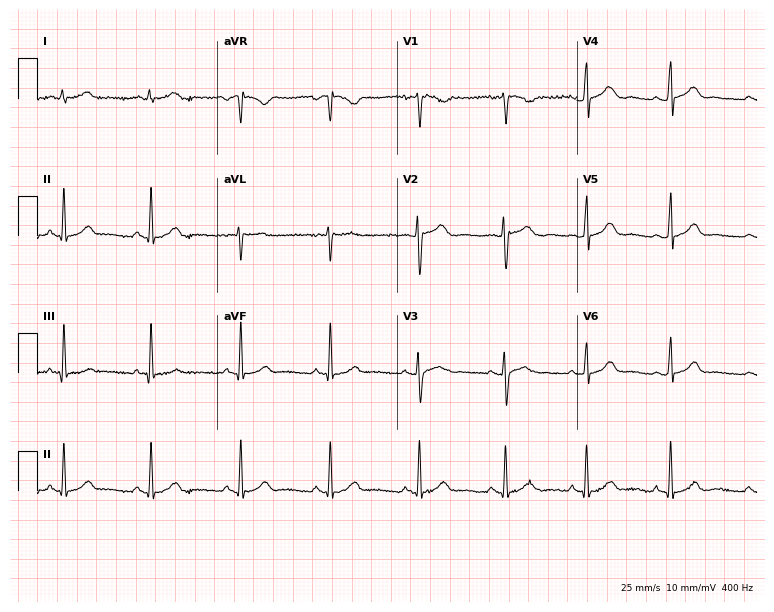
ECG — a woman, 24 years old. Screened for six findings — first-degree AV block, right bundle branch block (RBBB), left bundle branch block (LBBB), sinus bradycardia, atrial fibrillation (AF), sinus tachycardia — none is recorded.